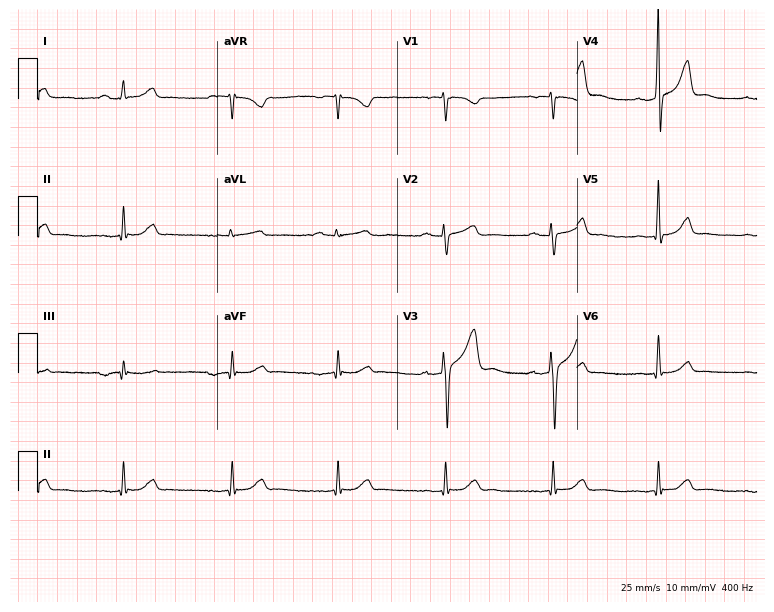
Resting 12-lead electrocardiogram (7.3-second recording at 400 Hz). Patient: a 64-year-old woman. None of these six findings is recorded: first-degree AV block, right bundle branch block, left bundle branch block, sinus bradycardia, atrial fibrillation, sinus tachycardia.